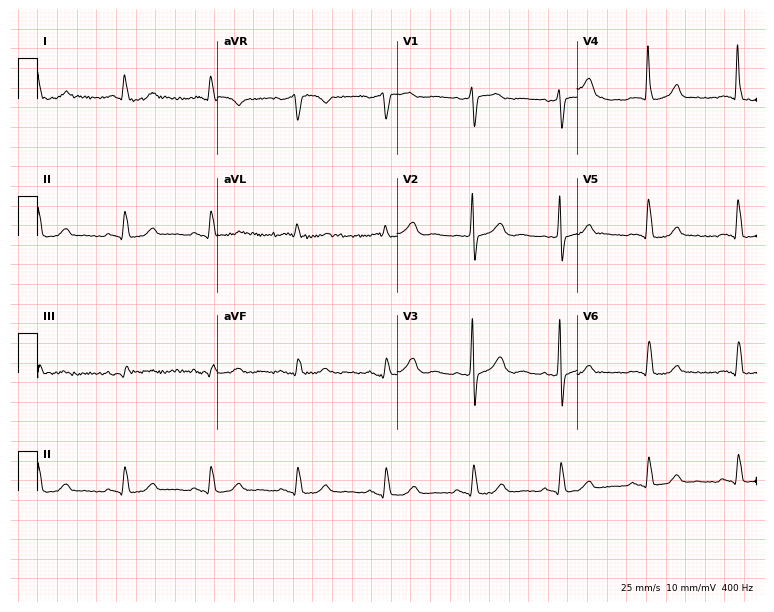
Resting 12-lead electrocardiogram. Patient: a 78-year-old woman. None of these six findings is recorded: first-degree AV block, right bundle branch block, left bundle branch block, sinus bradycardia, atrial fibrillation, sinus tachycardia.